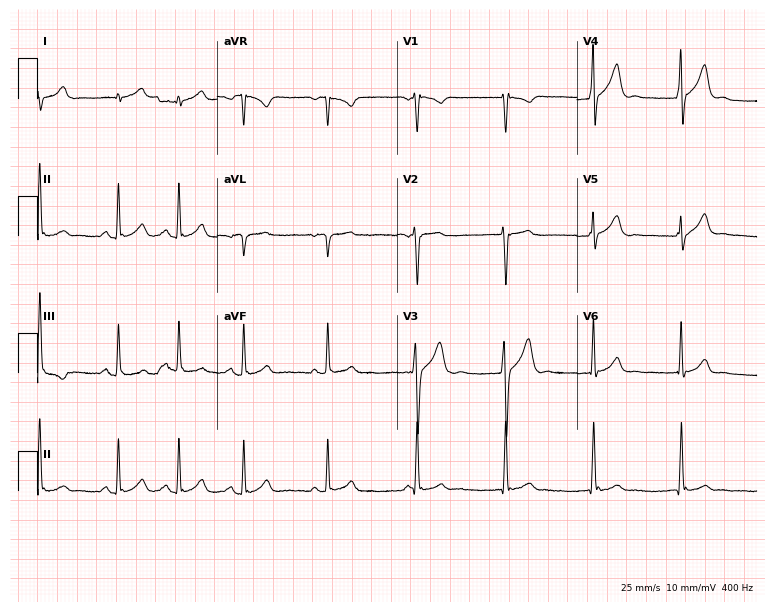
12-lead ECG from a 26-year-old male patient (7.3-second recording at 400 Hz). No first-degree AV block, right bundle branch block (RBBB), left bundle branch block (LBBB), sinus bradycardia, atrial fibrillation (AF) or sinus tachycardia recorded for this tracing.